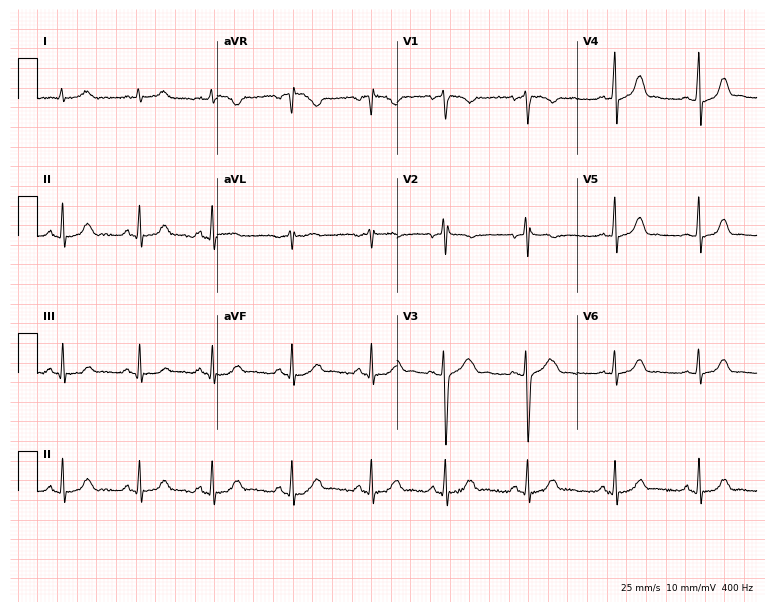
12-lead ECG (7.3-second recording at 400 Hz) from a female patient, 29 years old. Labelled as a normal ECG.